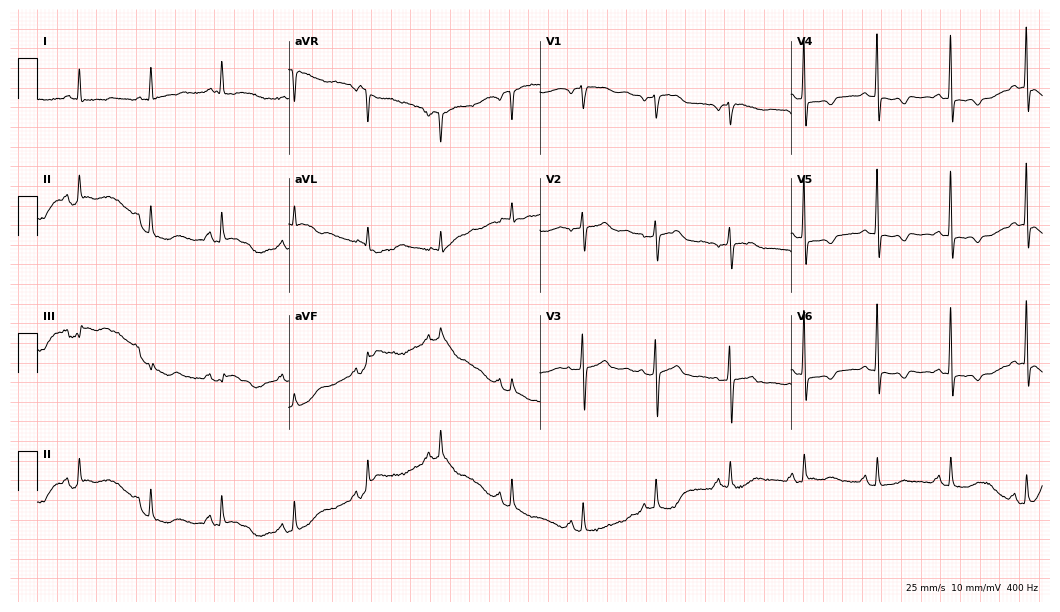
12-lead ECG from a female patient, 79 years old (10.2-second recording at 400 Hz). No first-degree AV block, right bundle branch block, left bundle branch block, sinus bradycardia, atrial fibrillation or sinus tachycardia recorded for this tracing.